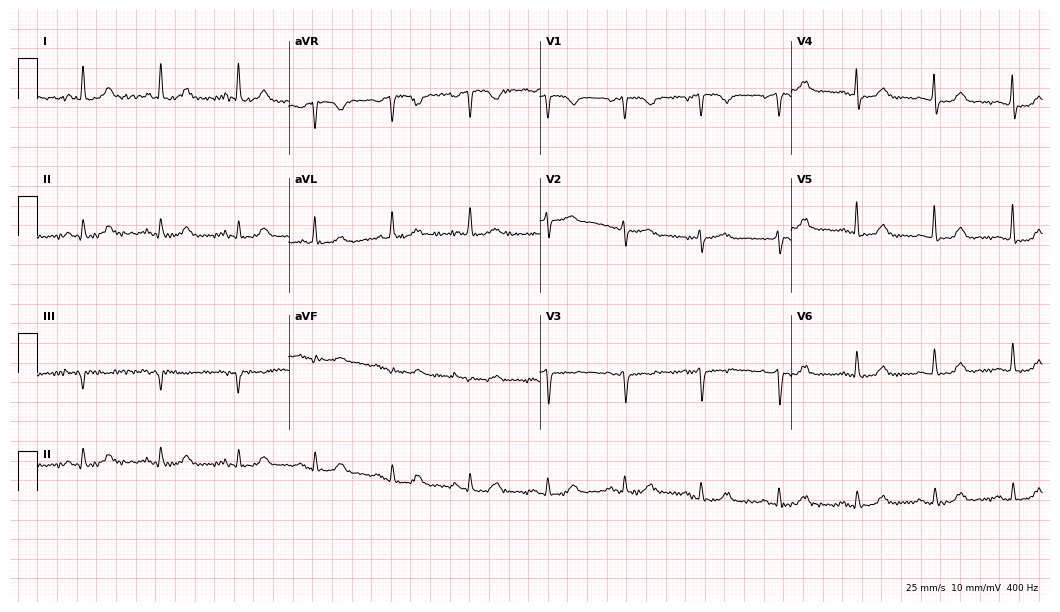
Standard 12-lead ECG recorded from a 72-year-old female. None of these six findings is recorded: first-degree AV block, right bundle branch block, left bundle branch block, sinus bradycardia, atrial fibrillation, sinus tachycardia. Findings outside these six are not listed.